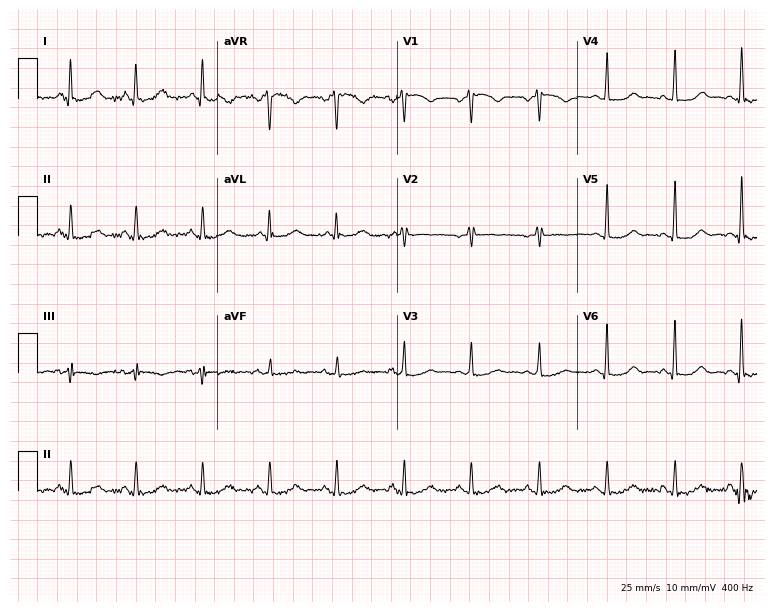
Standard 12-lead ECG recorded from a female patient, 56 years old. None of these six findings is recorded: first-degree AV block, right bundle branch block, left bundle branch block, sinus bradycardia, atrial fibrillation, sinus tachycardia. Only these six findings were labelled.